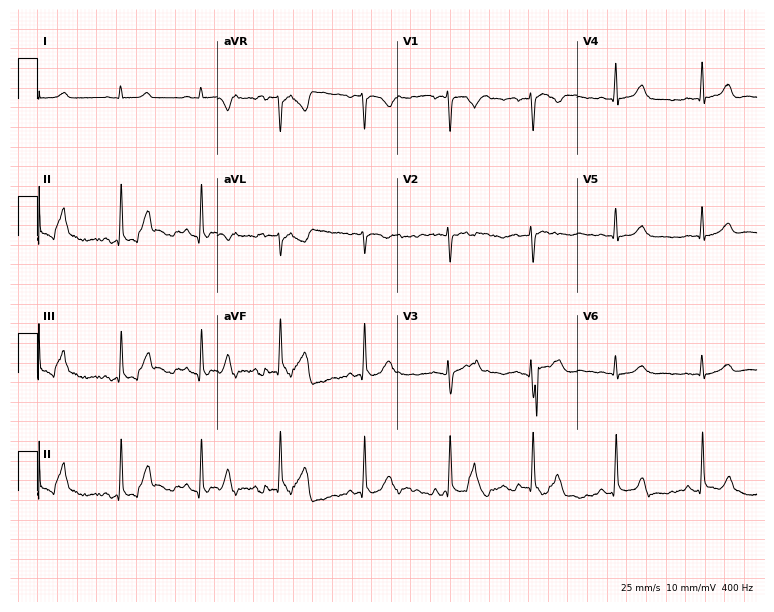
Electrocardiogram (7.3-second recording at 400 Hz), a female patient, 42 years old. Overall reading on record: normal ECG.